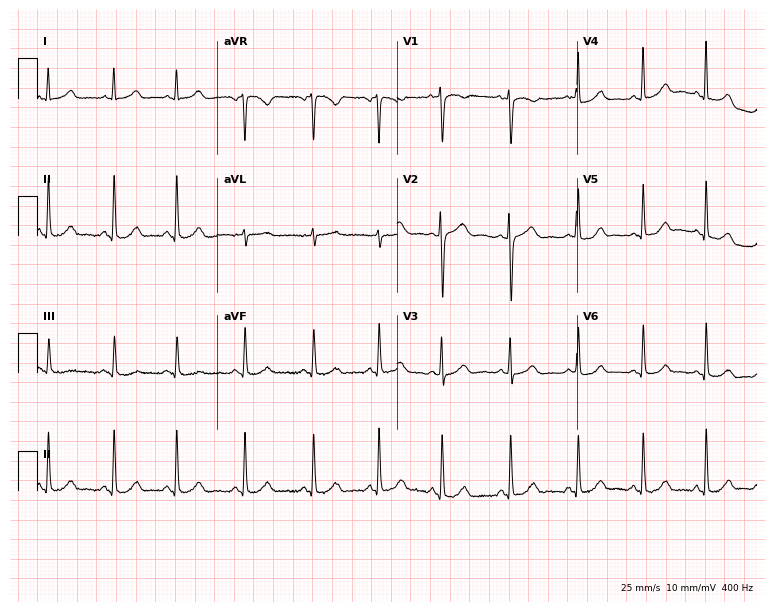
Electrocardiogram (7.3-second recording at 400 Hz), a 43-year-old female patient. Overall reading on record: normal ECG.